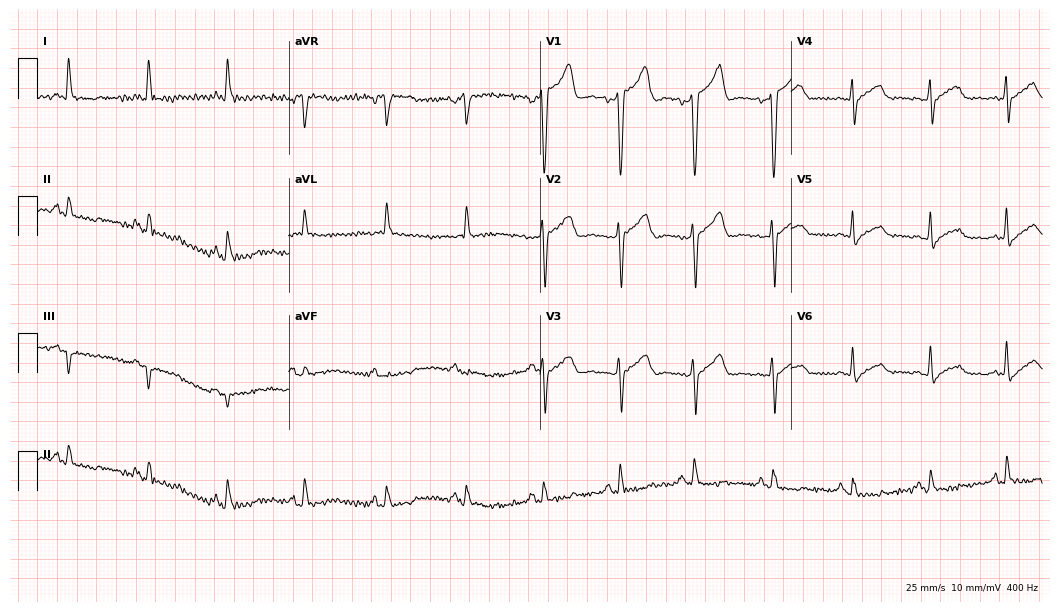
Resting 12-lead electrocardiogram. Patient: a man, 67 years old. None of these six findings is recorded: first-degree AV block, right bundle branch block, left bundle branch block, sinus bradycardia, atrial fibrillation, sinus tachycardia.